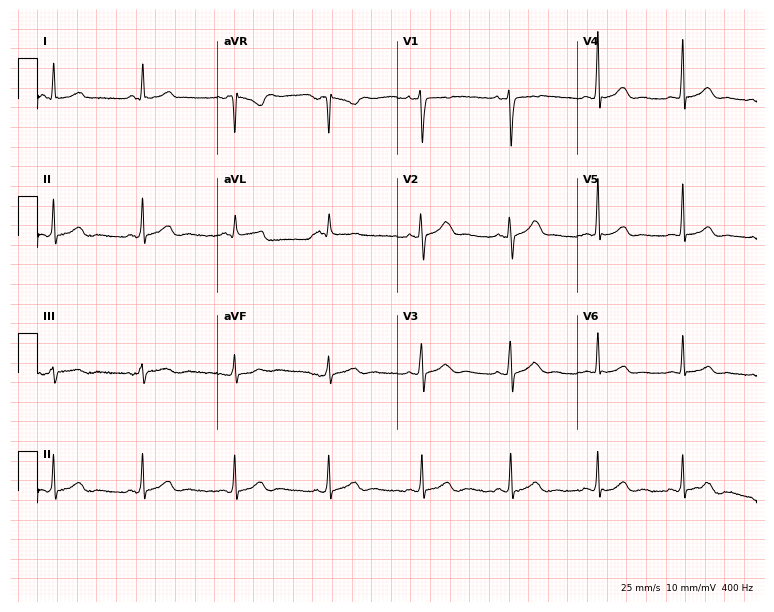
ECG — a 37-year-old female patient. Labelled as a normal ECG.